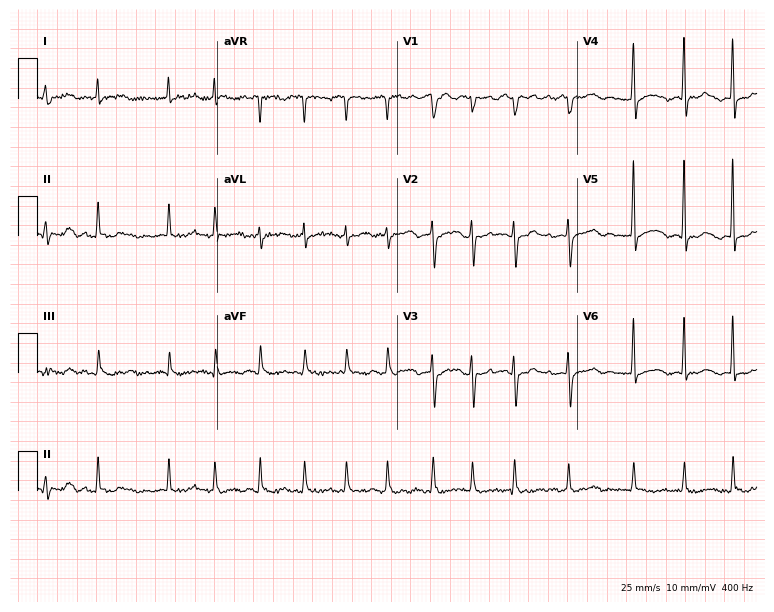
Standard 12-lead ECG recorded from a female, 74 years old. The tracing shows atrial fibrillation.